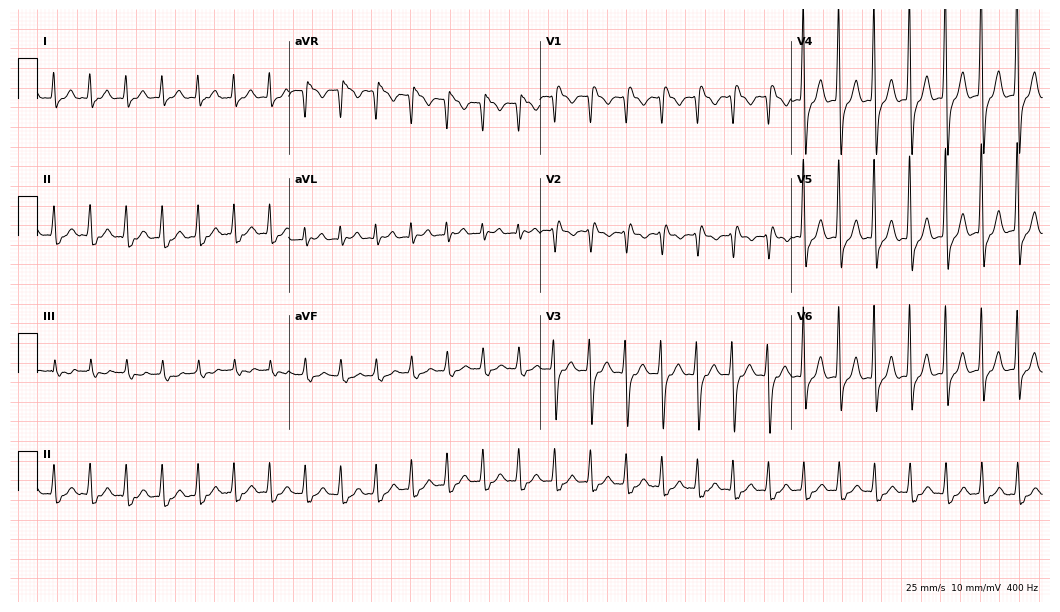
Standard 12-lead ECG recorded from a 53-year-old male (10.2-second recording at 400 Hz). The tracing shows sinus tachycardia (a sinus rate of 100 beats per minute or more).